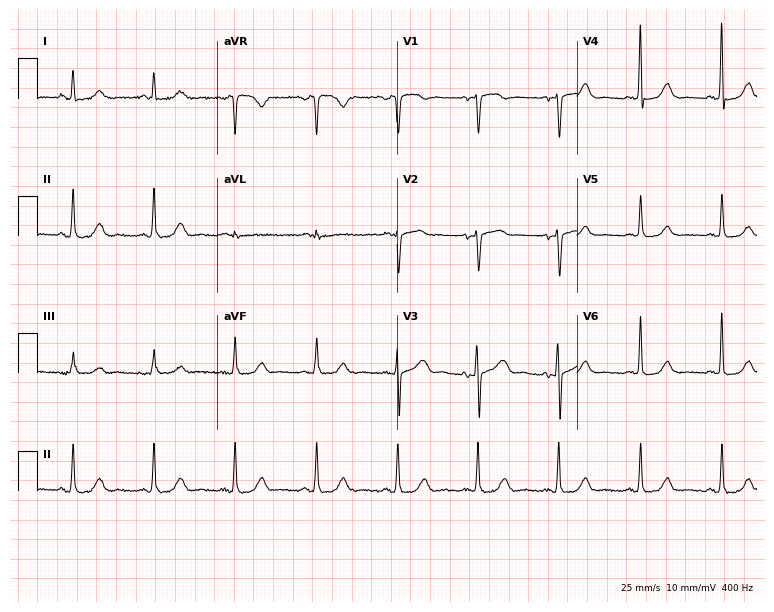
Electrocardiogram (7.3-second recording at 400 Hz), a 72-year-old female. Overall reading on record: normal ECG.